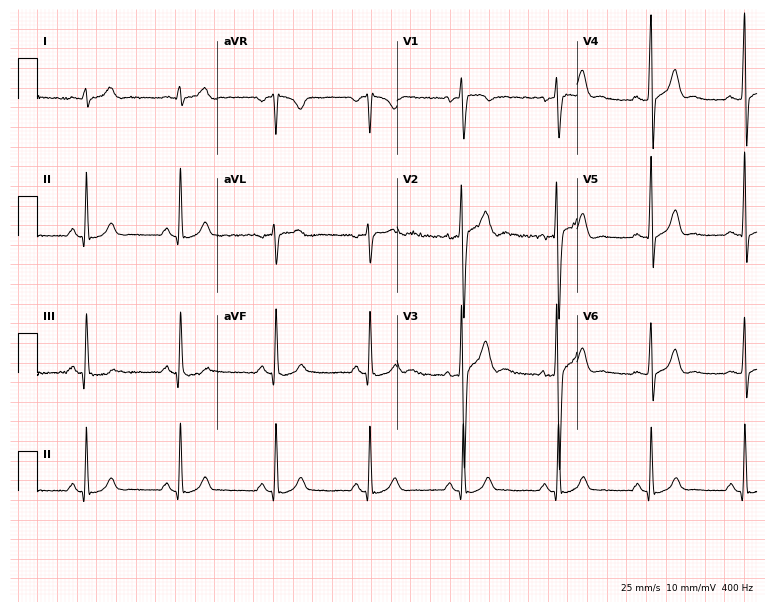
12-lead ECG from a 28-year-old male patient (7.3-second recording at 400 Hz). Recorded interpretation: within normal limits.